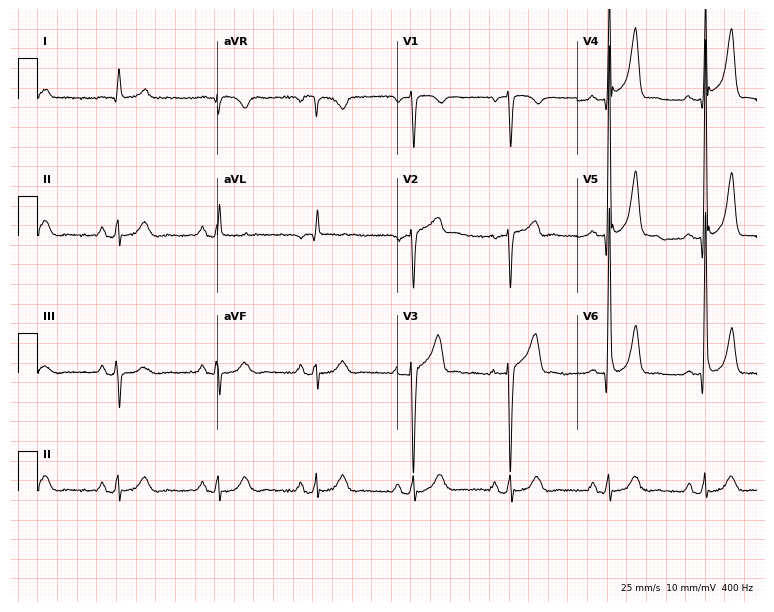
12-lead ECG from a male patient, 83 years old. Screened for six findings — first-degree AV block, right bundle branch block, left bundle branch block, sinus bradycardia, atrial fibrillation, sinus tachycardia — none is recorded. Only these six findings were labelled.